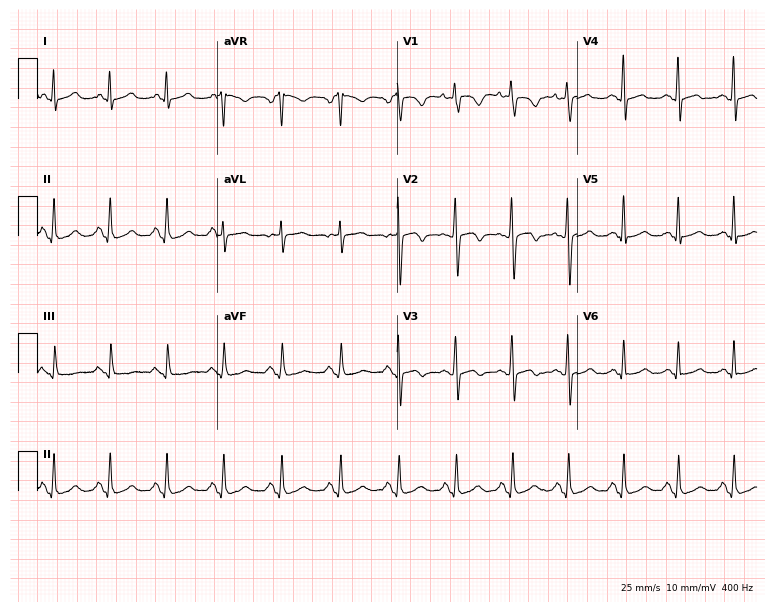
12-lead ECG (7.3-second recording at 400 Hz) from a 40-year-old female patient. Findings include sinus tachycardia (a sinus rate of 100 beats per minute or more).